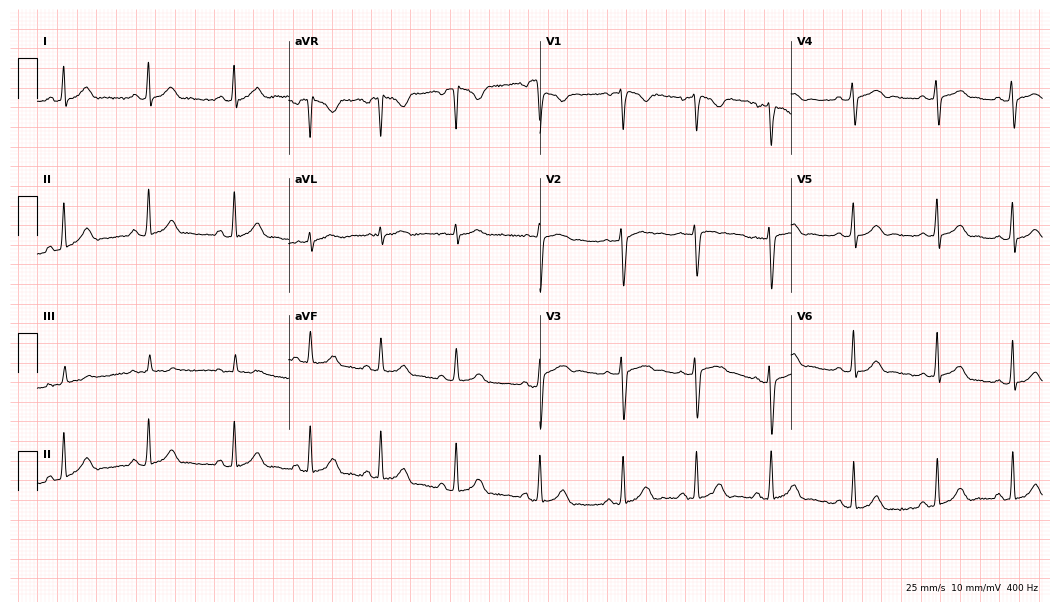
ECG (10.2-second recording at 400 Hz) — a female patient, 22 years old. Labelled as a normal ECG.